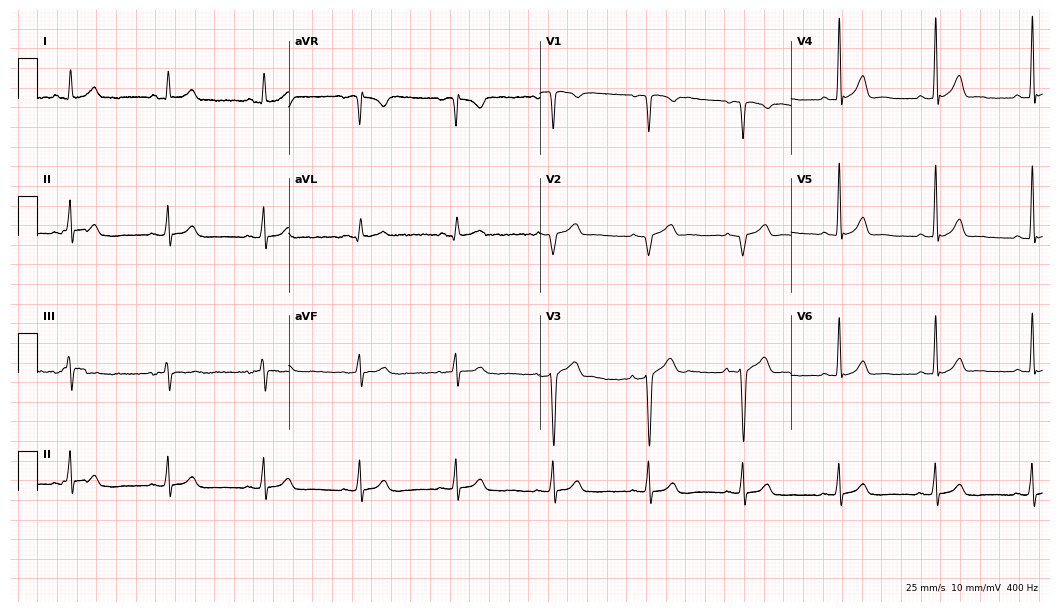
12-lead ECG from a male patient, 59 years old. Labelled as a normal ECG.